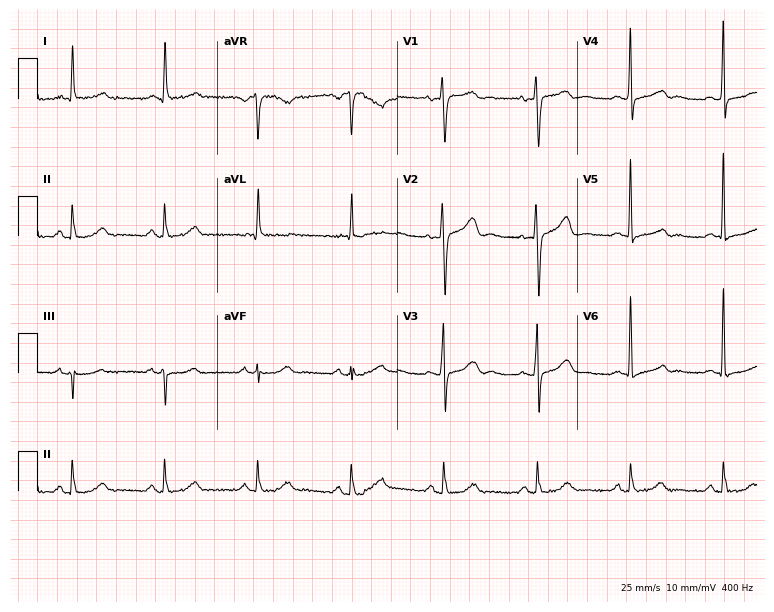
ECG (7.3-second recording at 400 Hz) — a 71-year-old female. Screened for six findings — first-degree AV block, right bundle branch block (RBBB), left bundle branch block (LBBB), sinus bradycardia, atrial fibrillation (AF), sinus tachycardia — none is recorded.